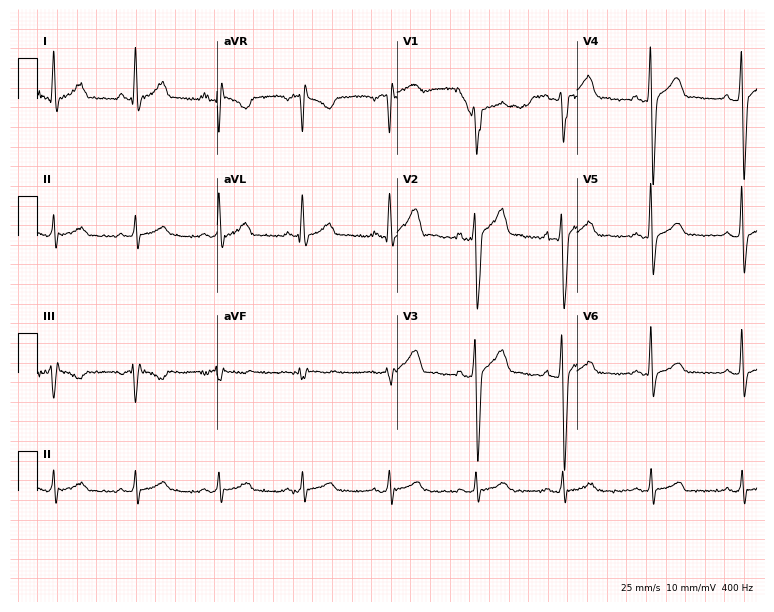
ECG (7.3-second recording at 400 Hz) — a 37-year-old male. Screened for six findings — first-degree AV block, right bundle branch block (RBBB), left bundle branch block (LBBB), sinus bradycardia, atrial fibrillation (AF), sinus tachycardia — none is recorded. Only these six findings were labelled.